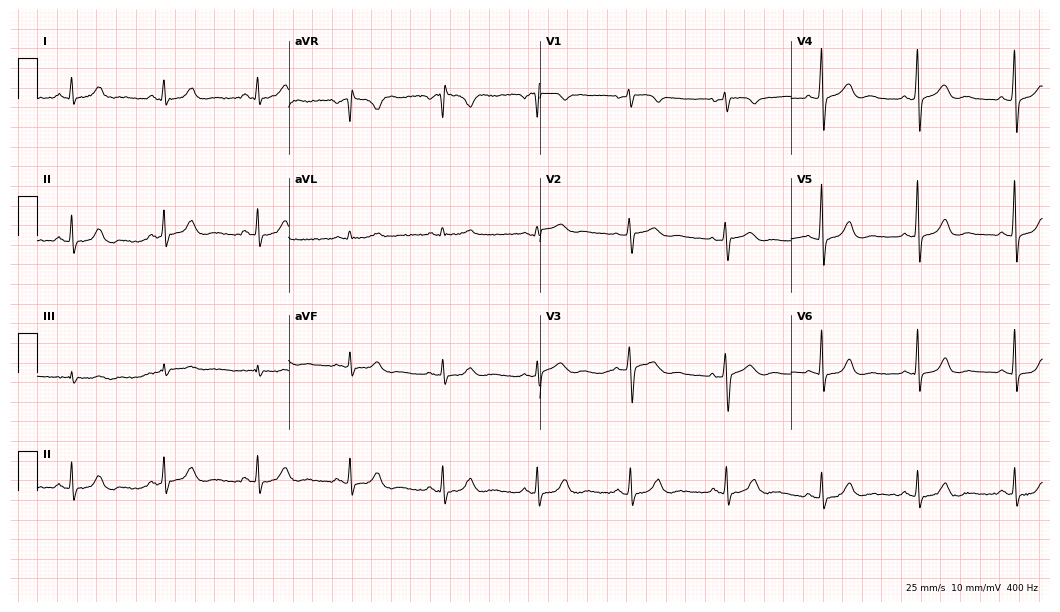
12-lead ECG from a 59-year-old woman. Screened for six findings — first-degree AV block, right bundle branch block (RBBB), left bundle branch block (LBBB), sinus bradycardia, atrial fibrillation (AF), sinus tachycardia — none is recorded.